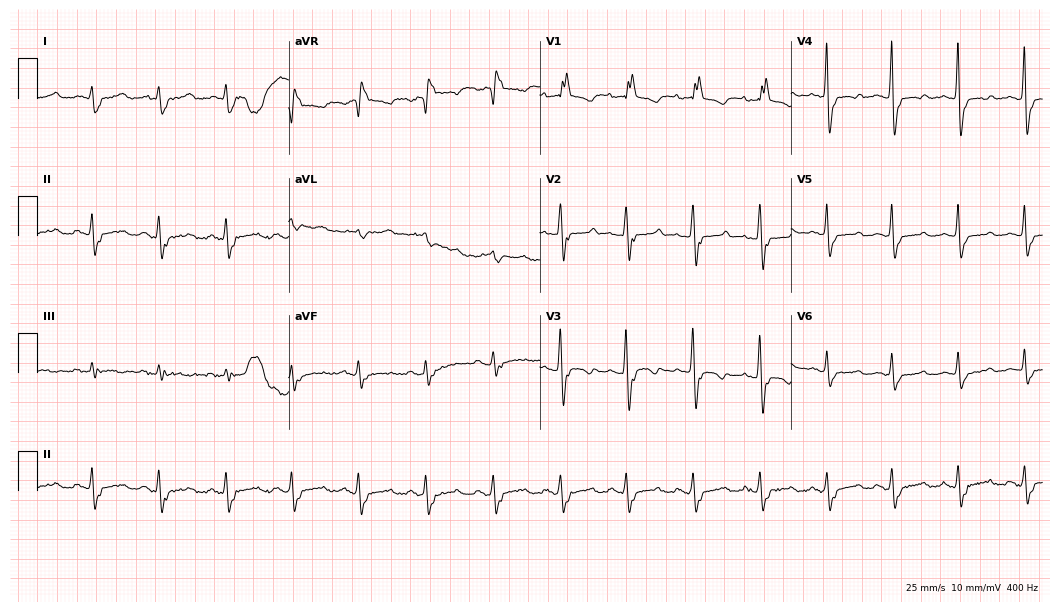
12-lead ECG (10.2-second recording at 400 Hz) from an 80-year-old woman. Findings include right bundle branch block.